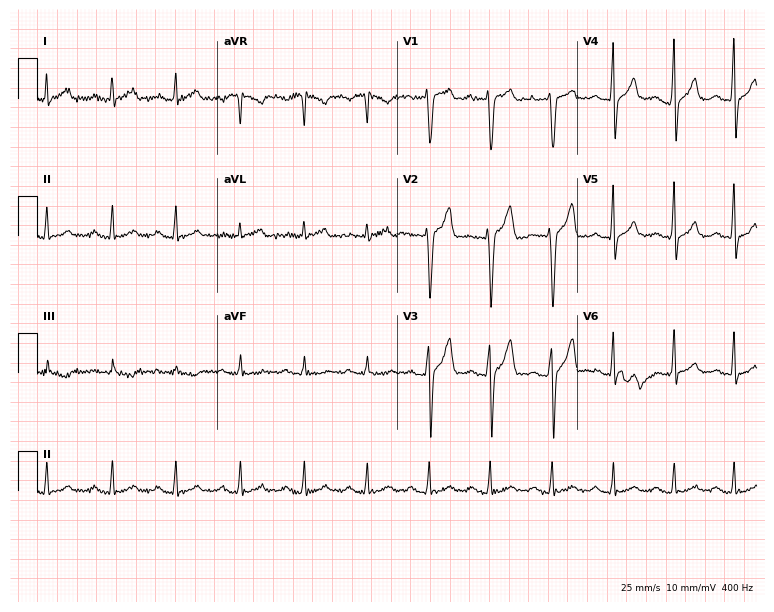
Standard 12-lead ECG recorded from a male, 39 years old. Read as a normal ECG.